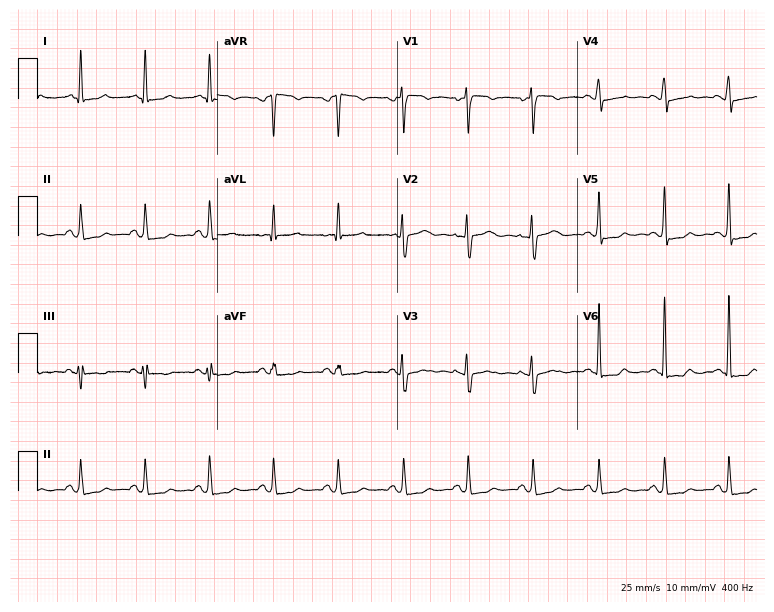
Resting 12-lead electrocardiogram. Patient: a 54-year-old woman. None of these six findings is recorded: first-degree AV block, right bundle branch block, left bundle branch block, sinus bradycardia, atrial fibrillation, sinus tachycardia. Findings outside these six are not listed.